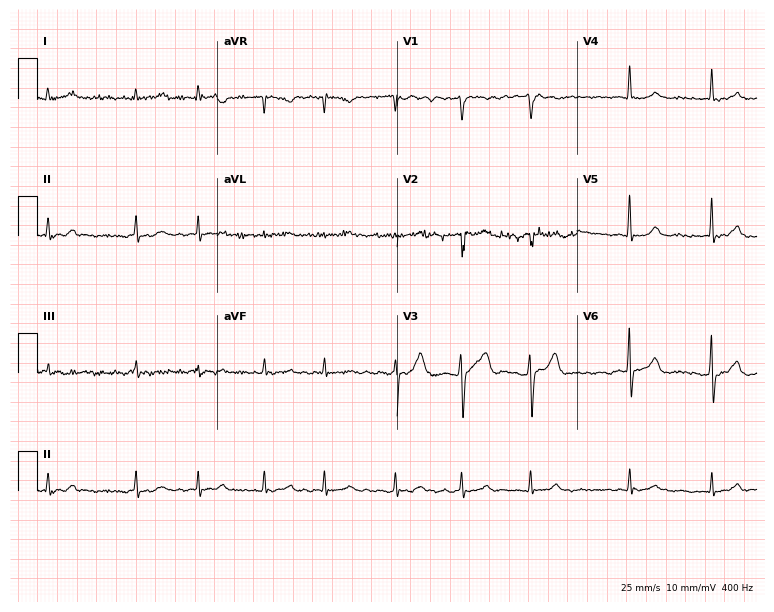
ECG — a male, 83 years old. Findings include atrial fibrillation (AF).